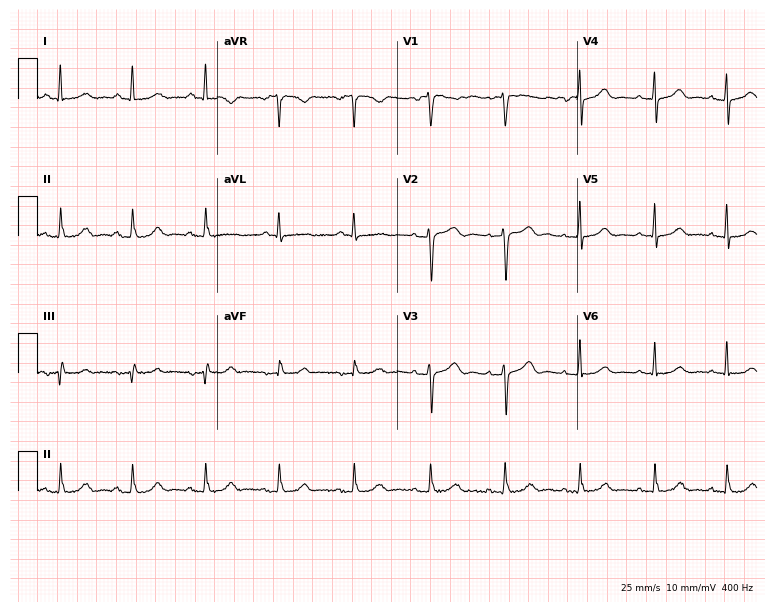
12-lead ECG (7.3-second recording at 400 Hz) from a female patient, 75 years old. Labelled as a normal ECG.